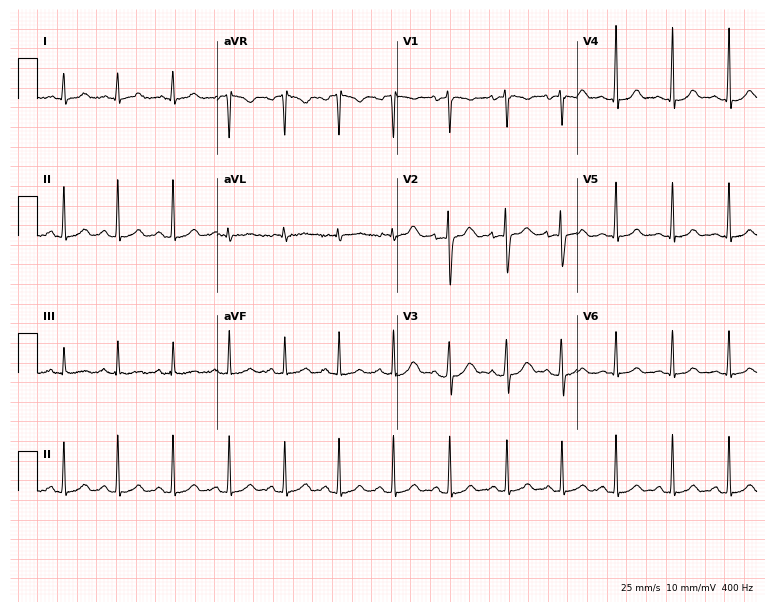
Standard 12-lead ECG recorded from a 20-year-old female patient (7.3-second recording at 400 Hz). The tracing shows sinus tachycardia (a sinus rate of 100 beats per minute or more).